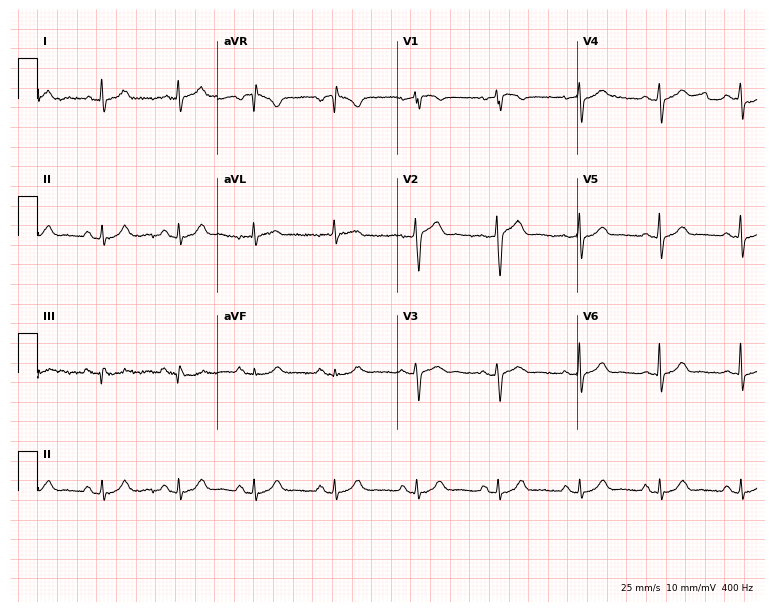
ECG (7.3-second recording at 400 Hz) — a female, 47 years old. Screened for six findings — first-degree AV block, right bundle branch block (RBBB), left bundle branch block (LBBB), sinus bradycardia, atrial fibrillation (AF), sinus tachycardia — none is recorded.